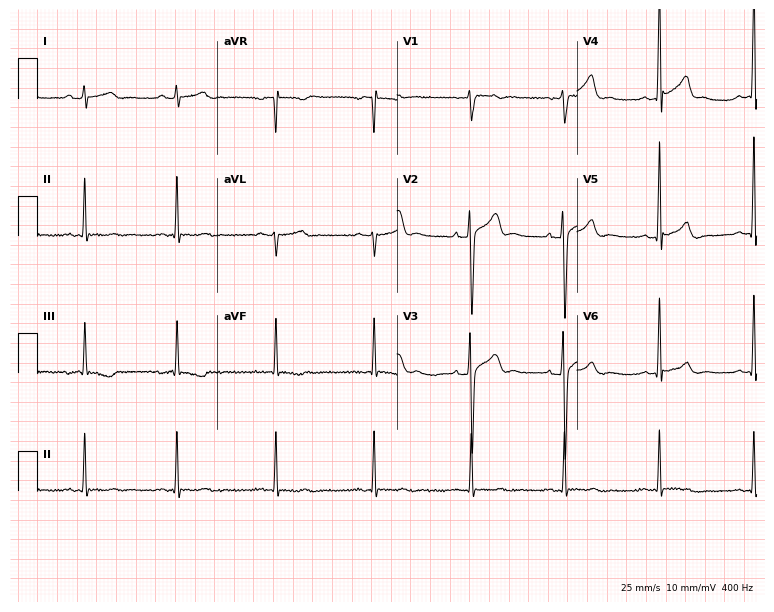
Electrocardiogram, a 26-year-old male. Overall reading on record: normal ECG.